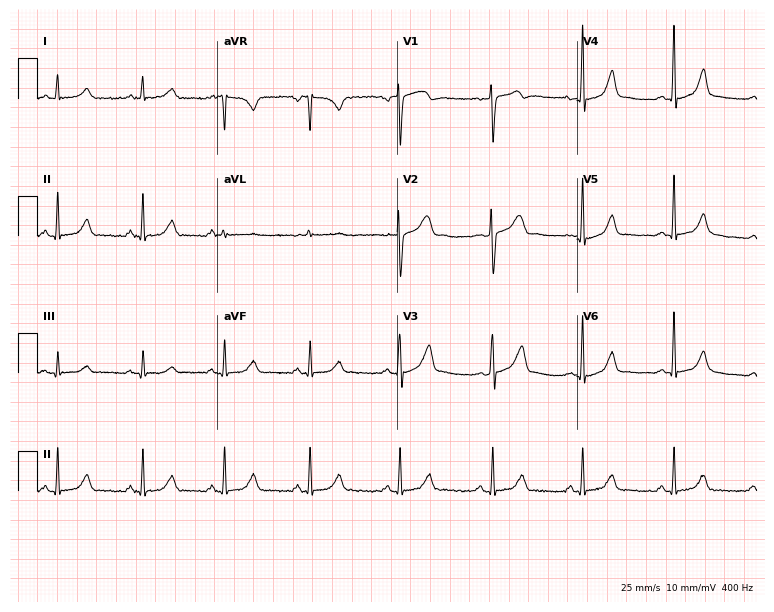
Standard 12-lead ECG recorded from a 32-year-old female. Read as a normal ECG.